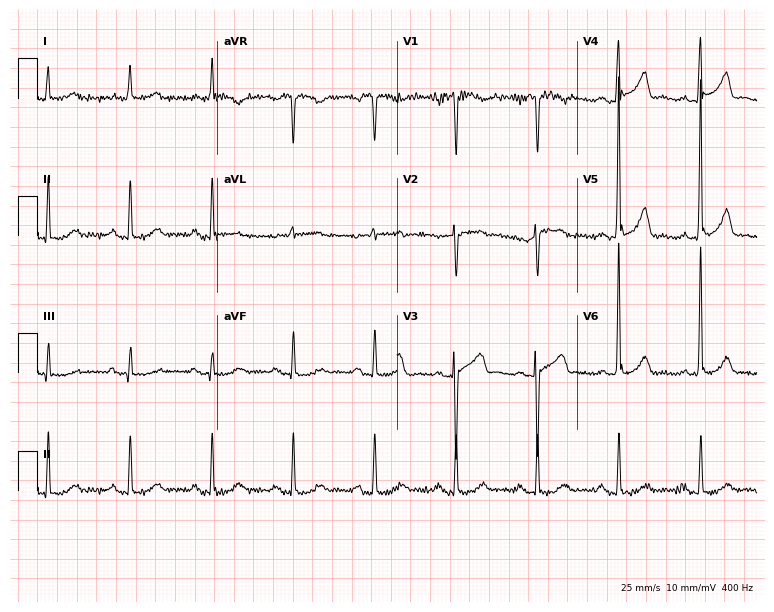
ECG (7.3-second recording at 400 Hz) — an 80-year-old male. Screened for six findings — first-degree AV block, right bundle branch block (RBBB), left bundle branch block (LBBB), sinus bradycardia, atrial fibrillation (AF), sinus tachycardia — none is recorded.